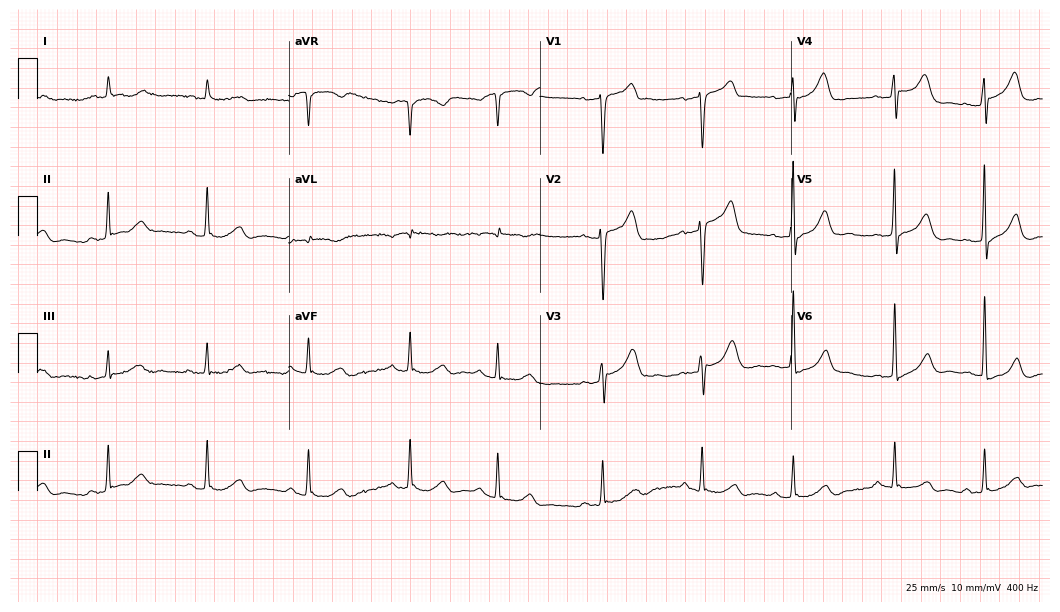
ECG — a 75-year-old male. Screened for six findings — first-degree AV block, right bundle branch block, left bundle branch block, sinus bradycardia, atrial fibrillation, sinus tachycardia — none is recorded. Only these six findings were labelled.